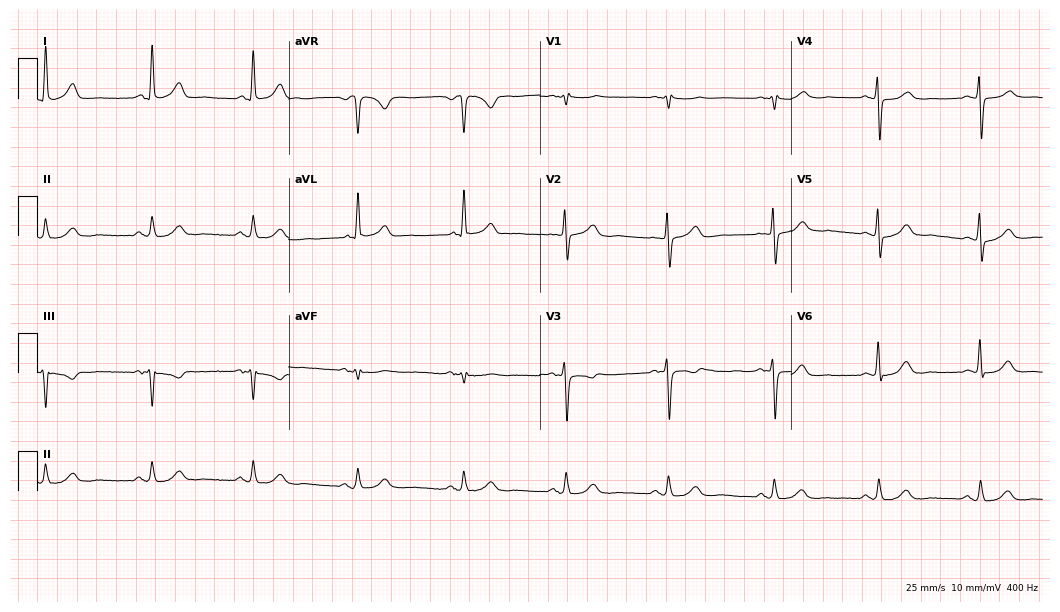
Standard 12-lead ECG recorded from a 77-year-old woman (10.2-second recording at 400 Hz). Read as a normal ECG.